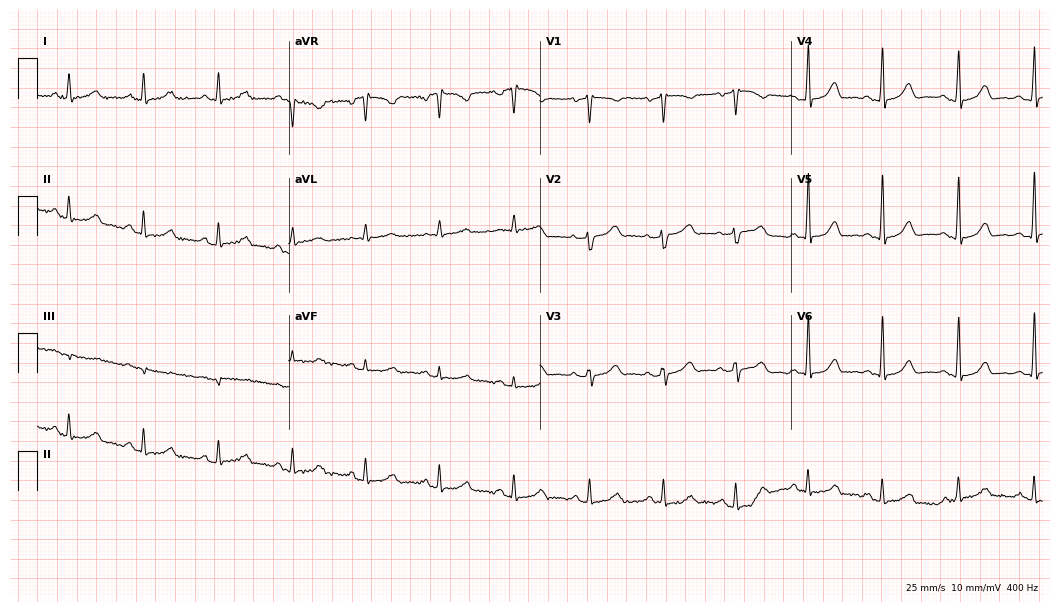
Electrocardiogram, a woman, 56 years old. Overall reading on record: normal ECG.